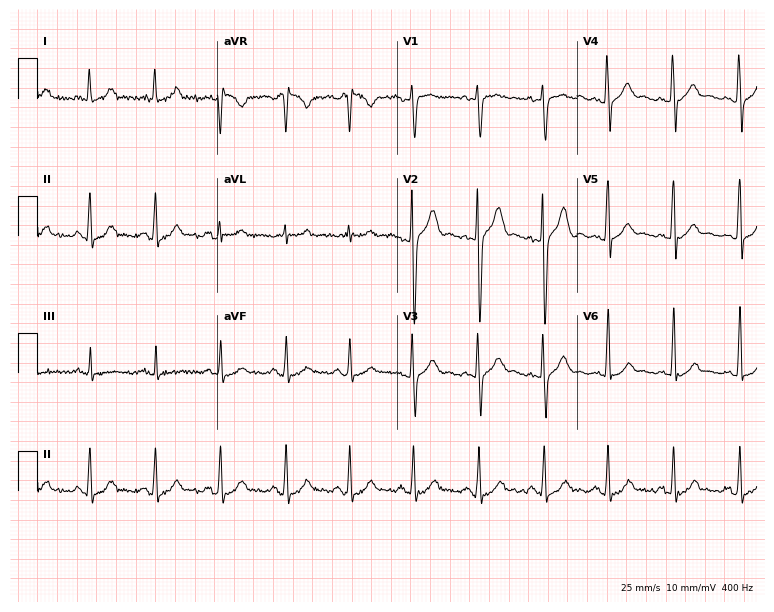
12-lead ECG from a man, 26 years old (7.3-second recording at 400 Hz). No first-degree AV block, right bundle branch block, left bundle branch block, sinus bradycardia, atrial fibrillation or sinus tachycardia recorded for this tracing.